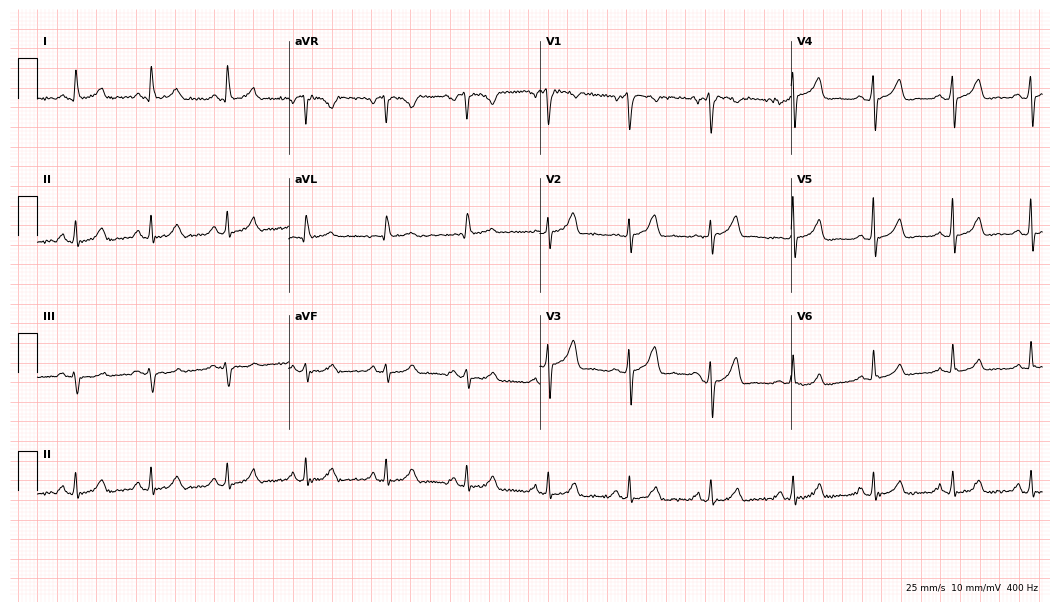
ECG — a male, 52 years old. Labelled as a normal ECG.